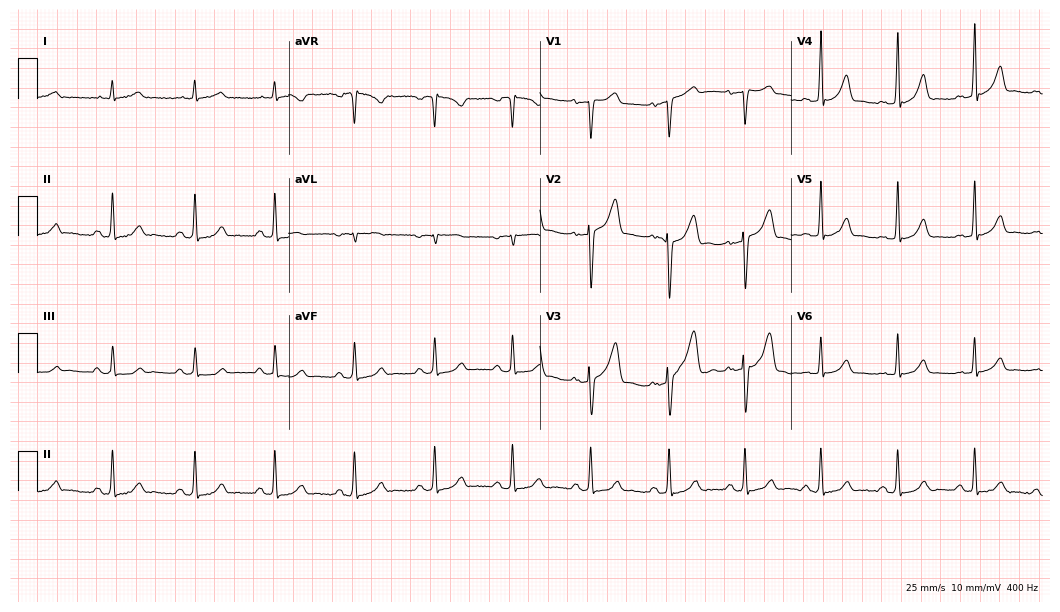
12-lead ECG from a 59-year-old male patient. Recorded interpretation: within normal limits.